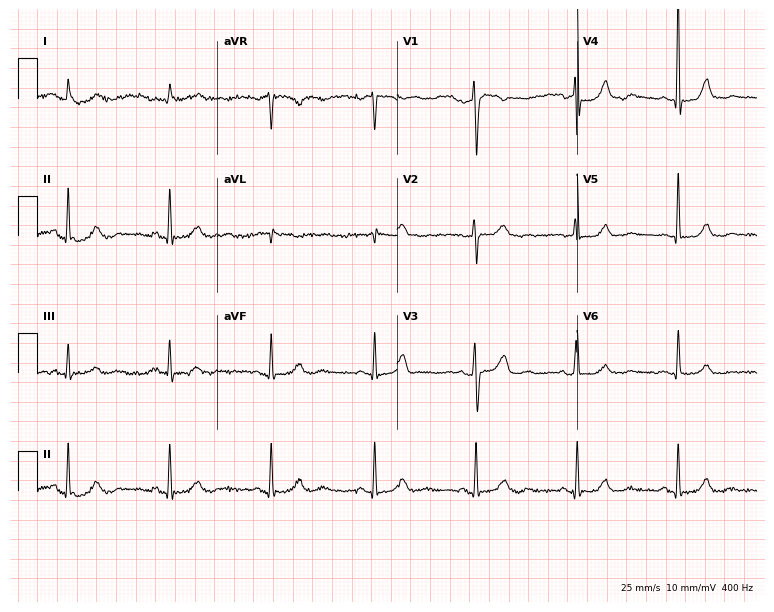
Standard 12-lead ECG recorded from a 75-year-old male patient. Read as a normal ECG.